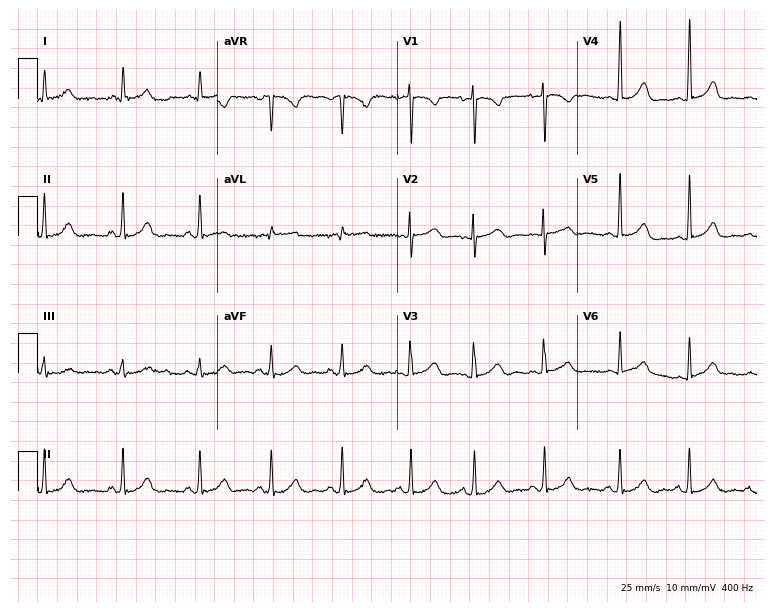
12-lead ECG from a female, 19 years old. Recorded interpretation: within normal limits.